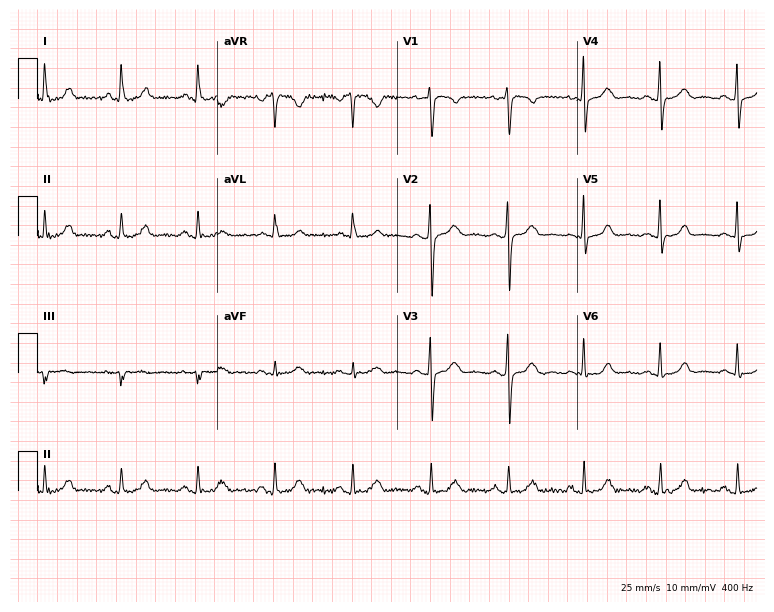
Electrocardiogram (7.3-second recording at 400 Hz), a 47-year-old female. Overall reading on record: normal ECG.